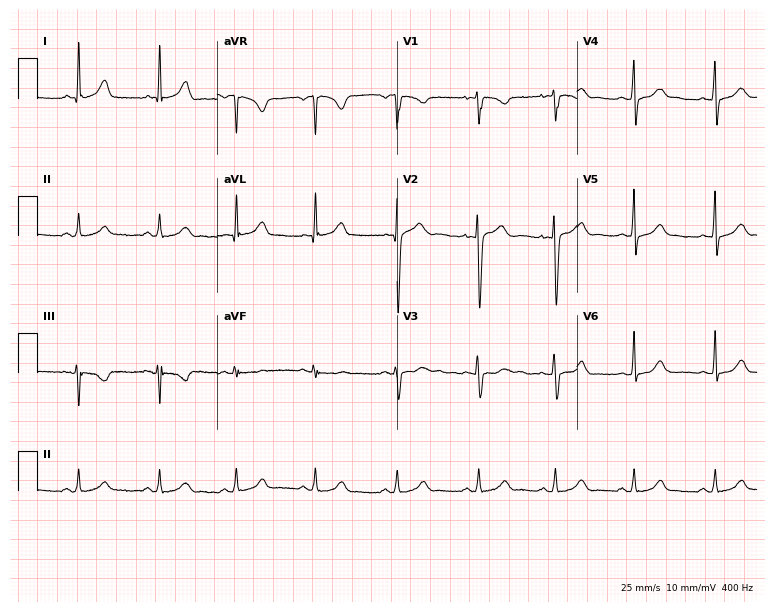
12-lead ECG from a 28-year-old female. Screened for six findings — first-degree AV block, right bundle branch block, left bundle branch block, sinus bradycardia, atrial fibrillation, sinus tachycardia — none is recorded. Findings outside these six are not listed.